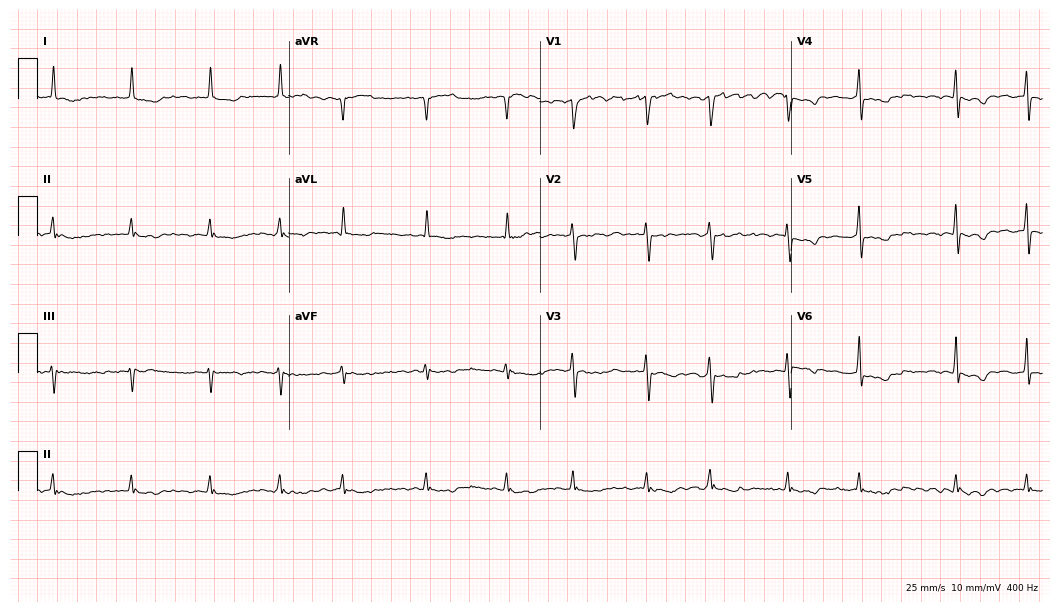
Electrocardiogram, a 63-year-old male. Interpretation includes atrial fibrillation (AF).